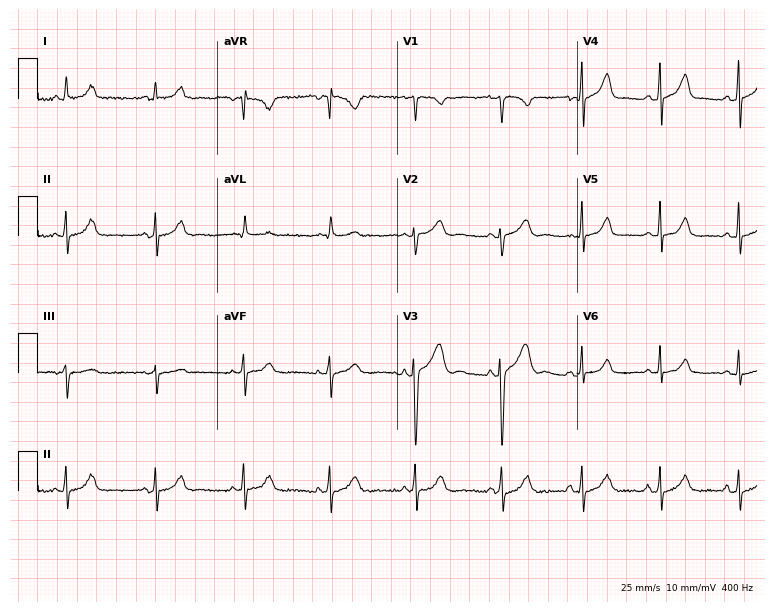
12-lead ECG from a 35-year-old woman. Recorded interpretation: within normal limits.